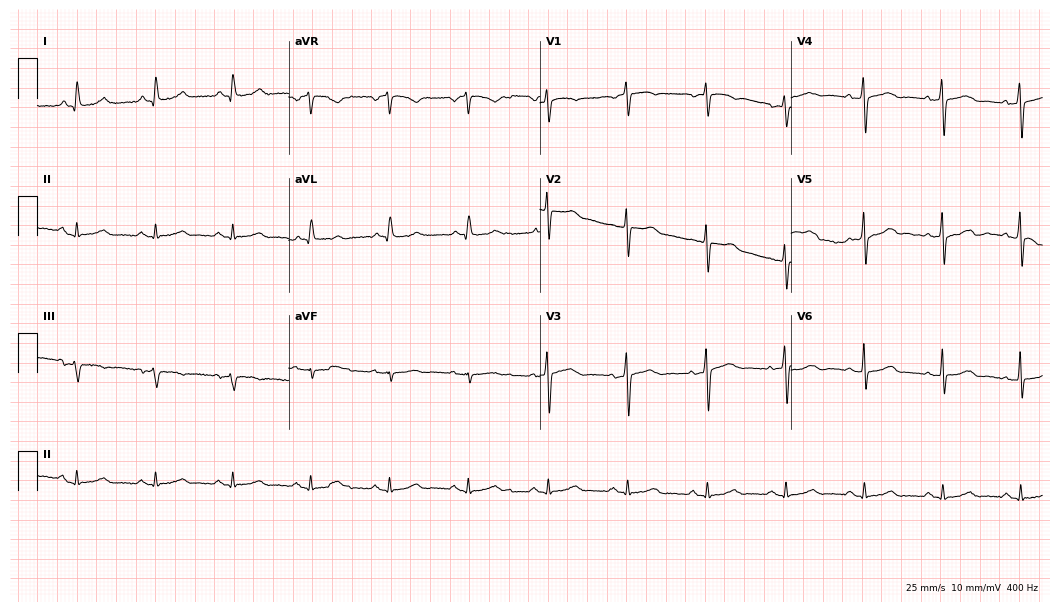
12-lead ECG from a woman, 80 years old. Screened for six findings — first-degree AV block, right bundle branch block, left bundle branch block, sinus bradycardia, atrial fibrillation, sinus tachycardia — none is recorded. Other findings, if any, are not listed.